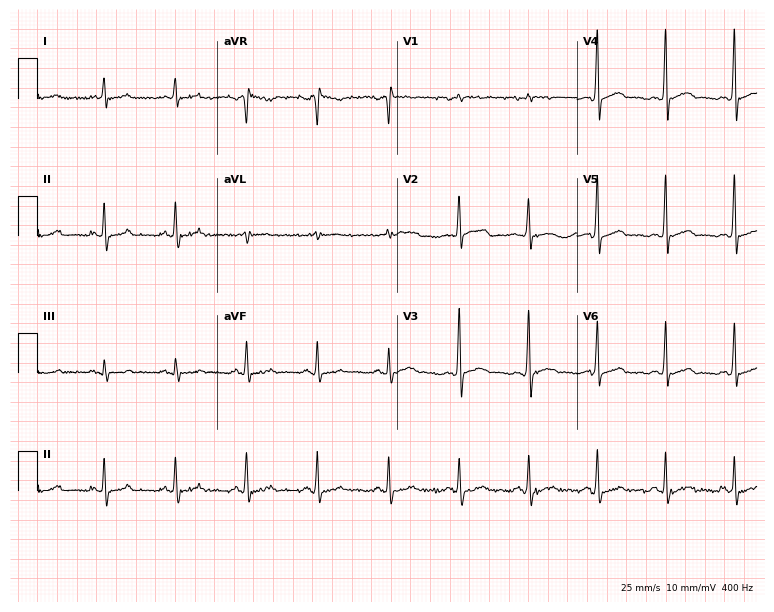
12-lead ECG (7.3-second recording at 400 Hz) from a man, 48 years old. Labelled as a normal ECG.